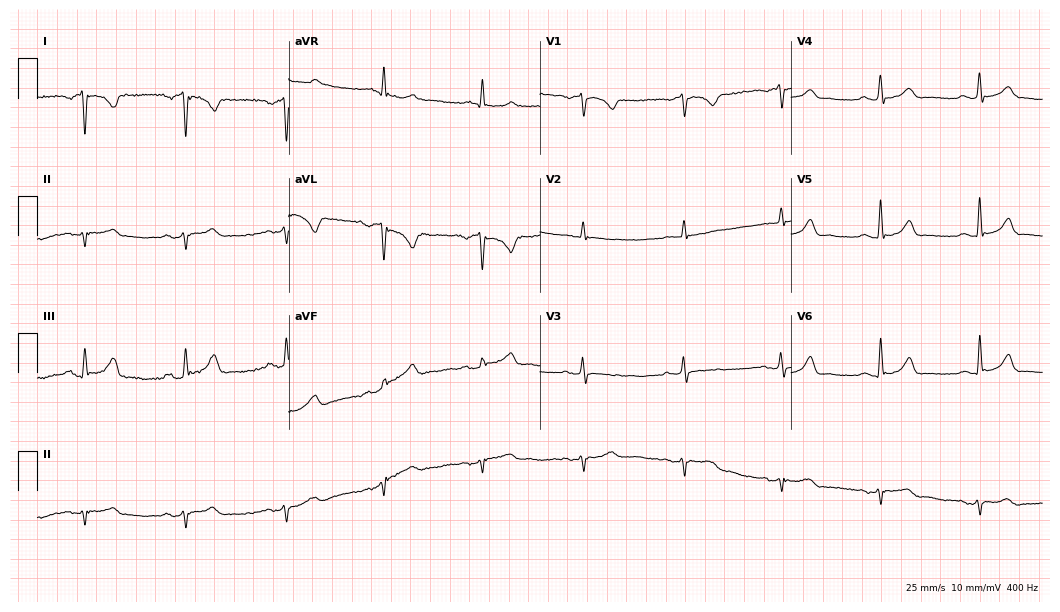
ECG (10.2-second recording at 400 Hz) — a female, 74 years old. Screened for six findings — first-degree AV block, right bundle branch block, left bundle branch block, sinus bradycardia, atrial fibrillation, sinus tachycardia — none is recorded. Findings outside these six are not listed.